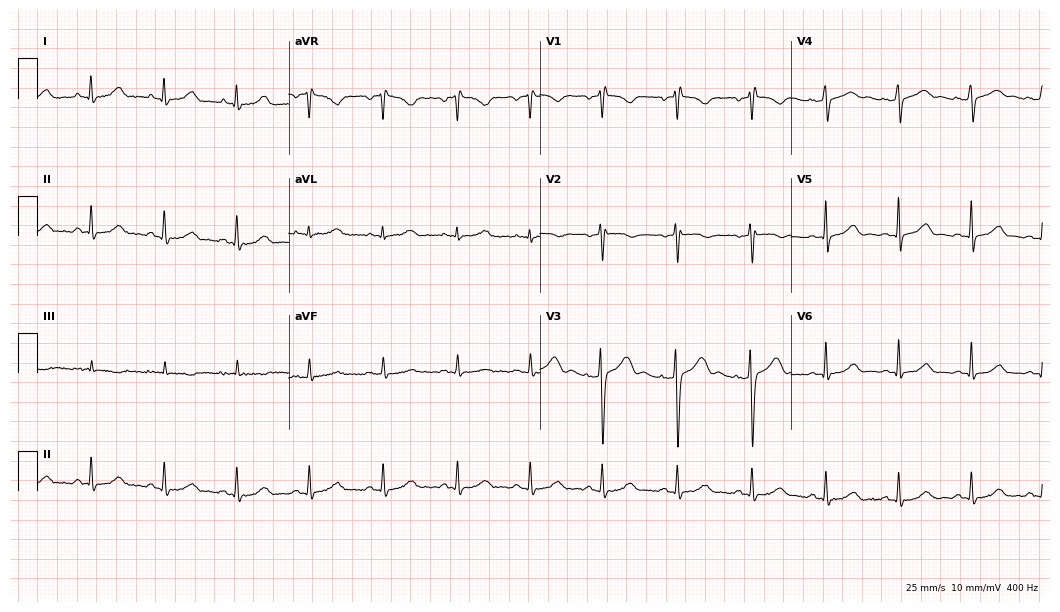
Electrocardiogram, a 25-year-old female patient. Of the six screened findings (first-degree AV block, right bundle branch block, left bundle branch block, sinus bradycardia, atrial fibrillation, sinus tachycardia), none is recorded.